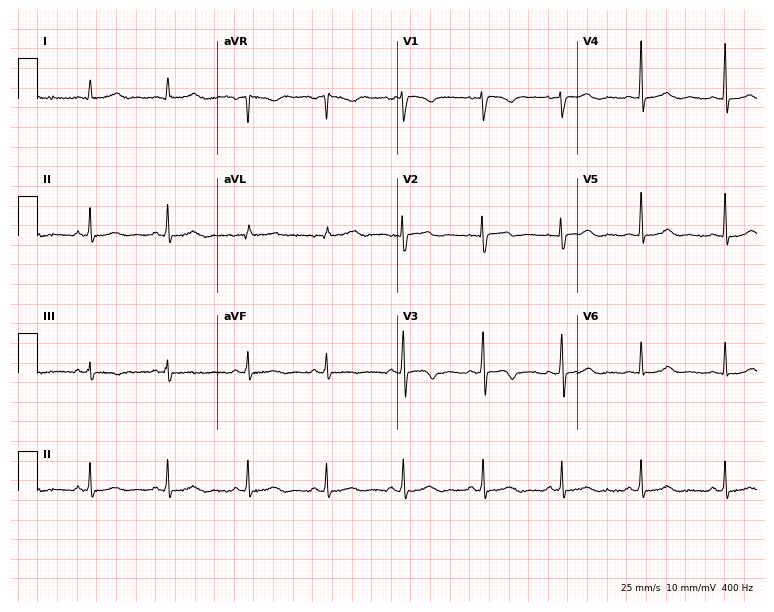
Electrocardiogram (7.3-second recording at 400 Hz), a 30-year-old woman. Of the six screened findings (first-degree AV block, right bundle branch block, left bundle branch block, sinus bradycardia, atrial fibrillation, sinus tachycardia), none is recorded.